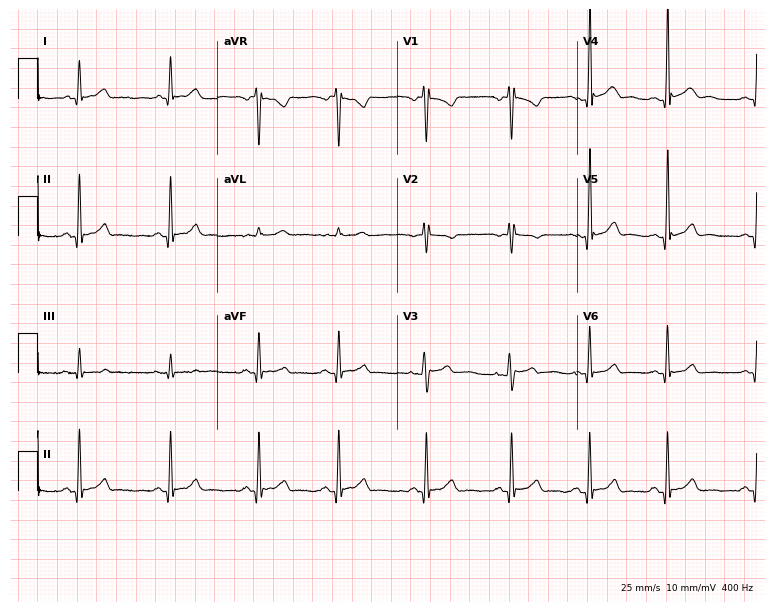
Resting 12-lead electrocardiogram. Patient: a 20-year-old male. None of these six findings is recorded: first-degree AV block, right bundle branch block (RBBB), left bundle branch block (LBBB), sinus bradycardia, atrial fibrillation (AF), sinus tachycardia.